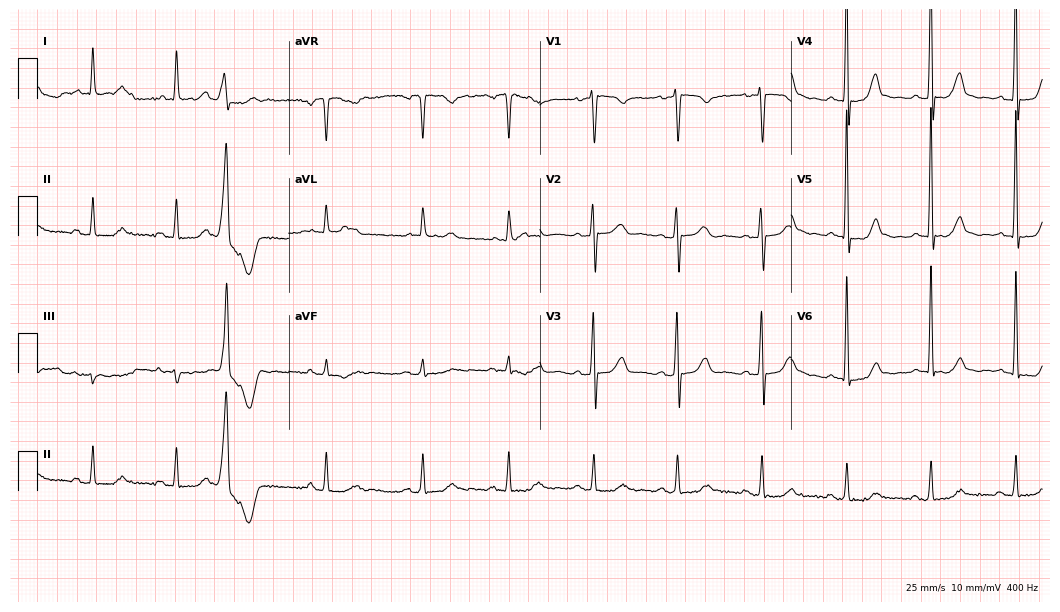
12-lead ECG (10.2-second recording at 400 Hz) from a female, 81 years old. Labelled as a normal ECG.